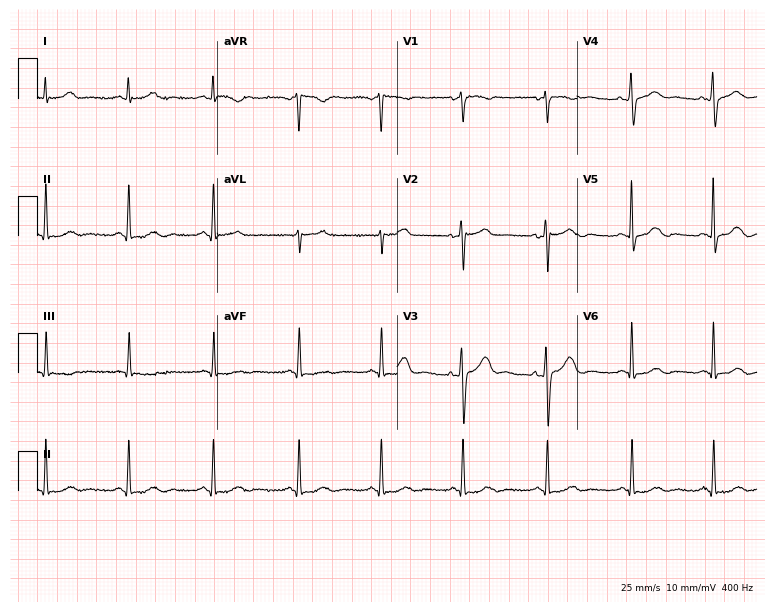
ECG — a 51-year-old woman. Labelled as a normal ECG.